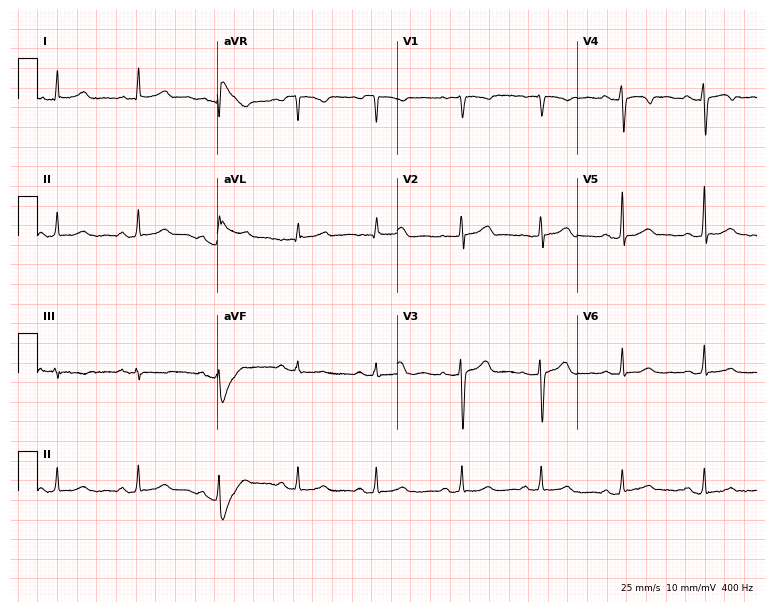
12-lead ECG (7.3-second recording at 400 Hz) from a 27-year-old woman. Screened for six findings — first-degree AV block, right bundle branch block, left bundle branch block, sinus bradycardia, atrial fibrillation, sinus tachycardia — none is recorded. Only these six findings were labelled.